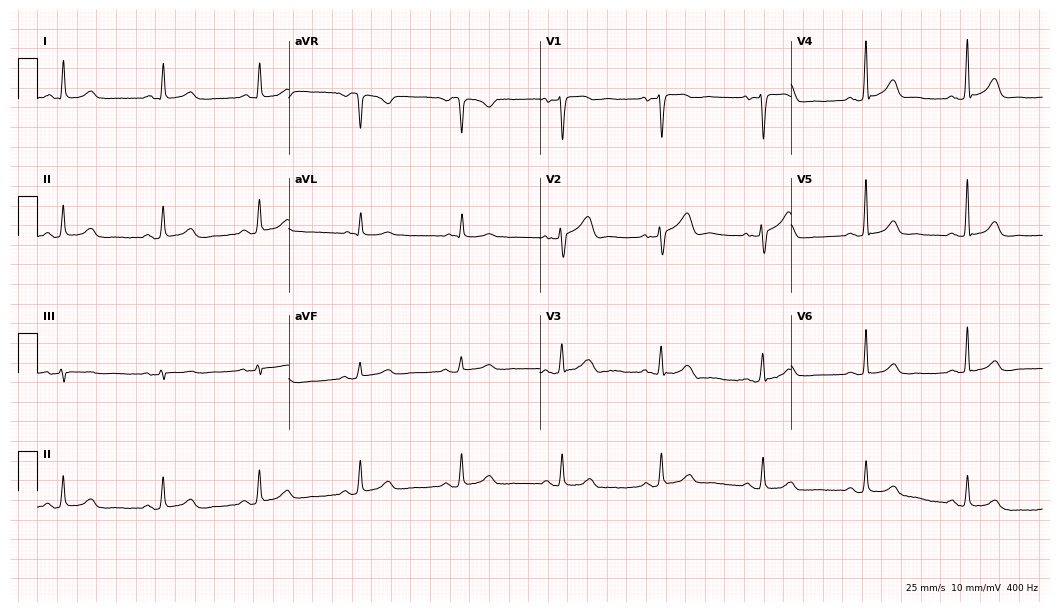
ECG (10.2-second recording at 400 Hz) — a 75-year-old woman. Screened for six findings — first-degree AV block, right bundle branch block, left bundle branch block, sinus bradycardia, atrial fibrillation, sinus tachycardia — none is recorded.